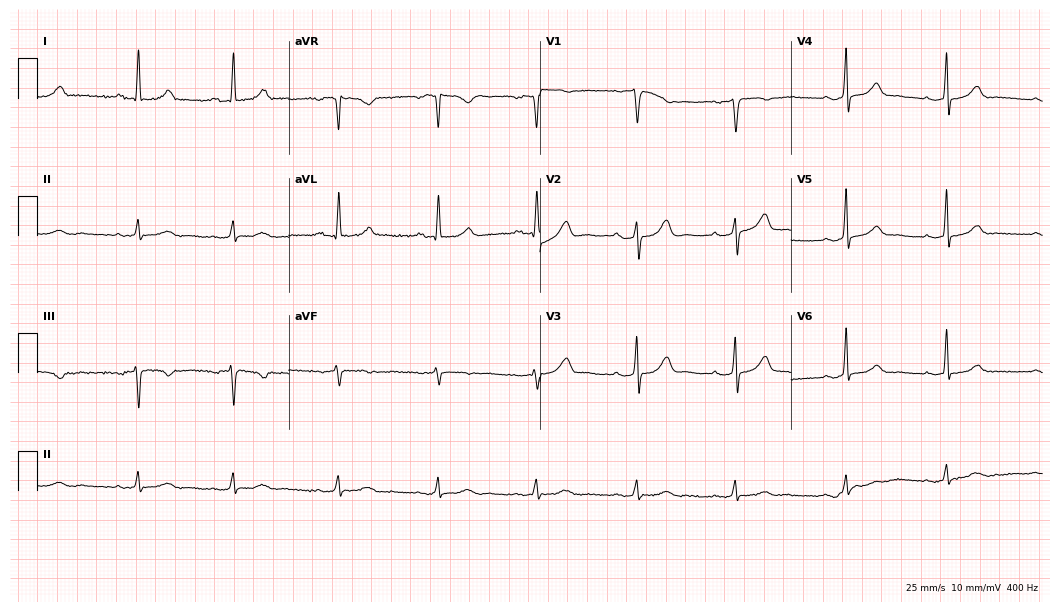
ECG (10.2-second recording at 400 Hz) — a 48-year-old female patient. Screened for six findings — first-degree AV block, right bundle branch block, left bundle branch block, sinus bradycardia, atrial fibrillation, sinus tachycardia — none is recorded.